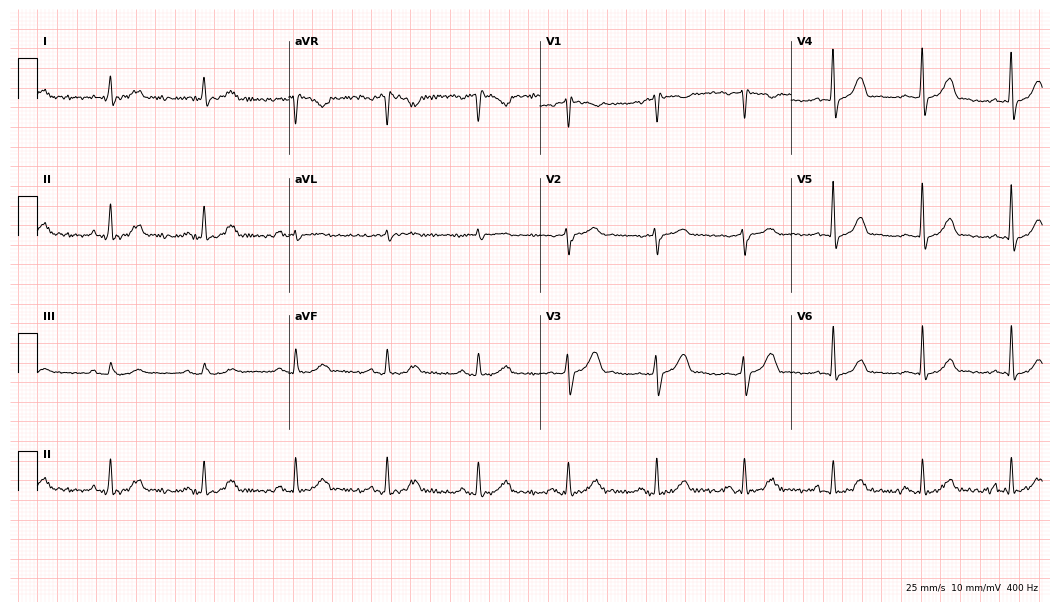
Electrocardiogram, a man, 71 years old. Overall reading on record: normal ECG.